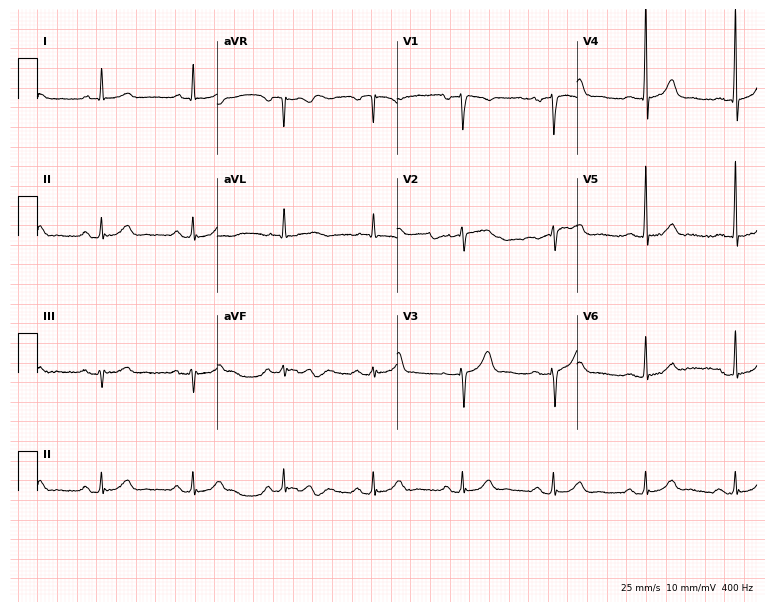
ECG — a man, 73 years old. Labelled as a normal ECG.